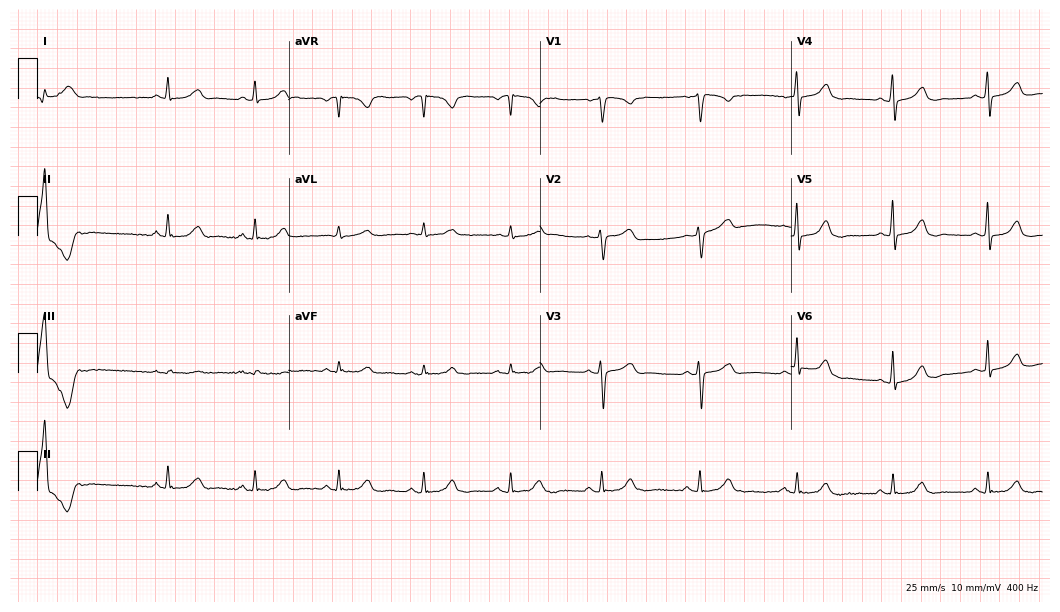
12-lead ECG from a female, 53 years old. Screened for six findings — first-degree AV block, right bundle branch block, left bundle branch block, sinus bradycardia, atrial fibrillation, sinus tachycardia — none is recorded.